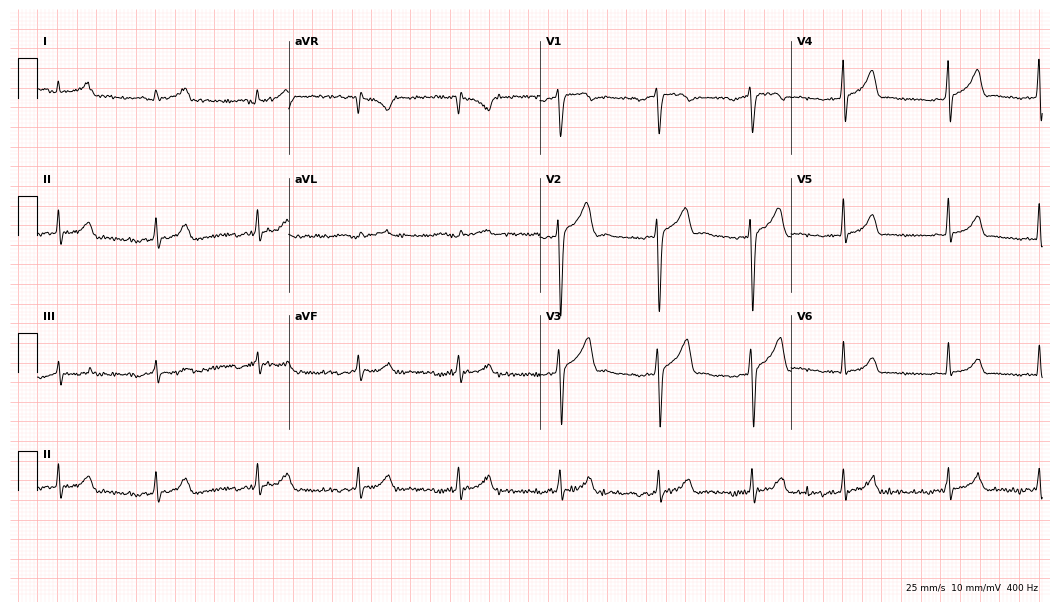
Electrocardiogram (10.2-second recording at 400 Hz), a male patient, 21 years old. Of the six screened findings (first-degree AV block, right bundle branch block (RBBB), left bundle branch block (LBBB), sinus bradycardia, atrial fibrillation (AF), sinus tachycardia), none is recorded.